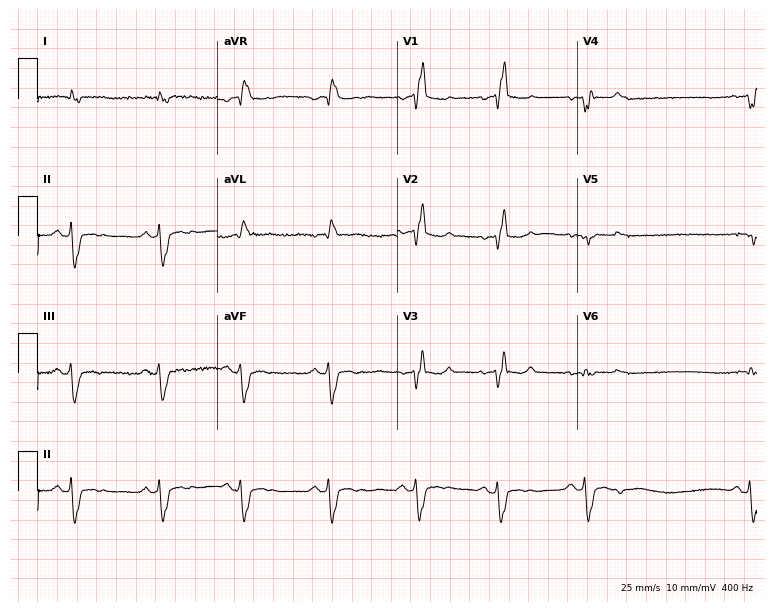
12-lead ECG from an 81-year-old male. Findings include right bundle branch block.